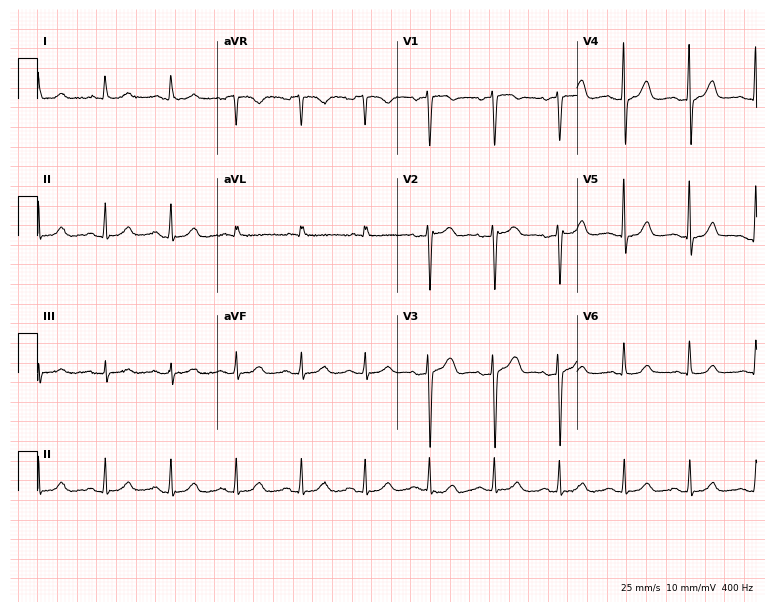
12-lead ECG from a 61-year-old female patient (7.3-second recording at 400 Hz). Recorded interpretation: within normal limits.